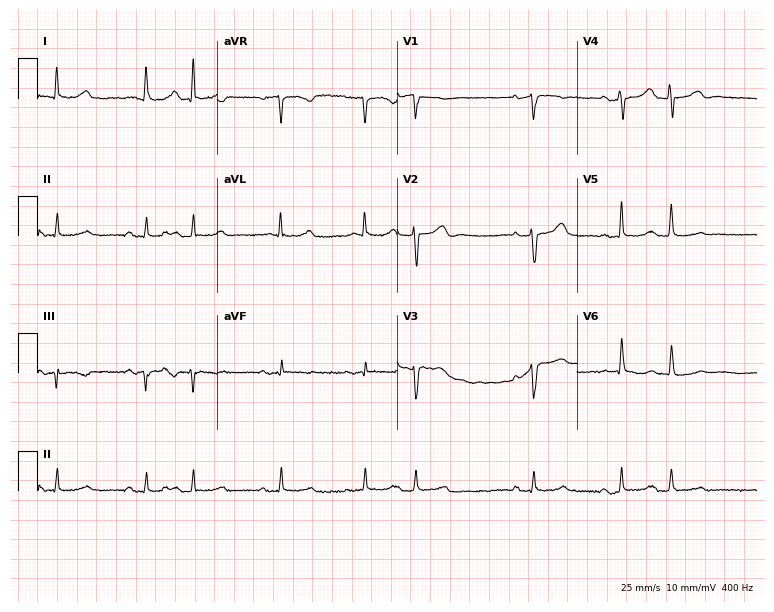
12-lead ECG from a 78-year-old woman (7.3-second recording at 400 Hz). No first-degree AV block, right bundle branch block (RBBB), left bundle branch block (LBBB), sinus bradycardia, atrial fibrillation (AF) or sinus tachycardia recorded for this tracing.